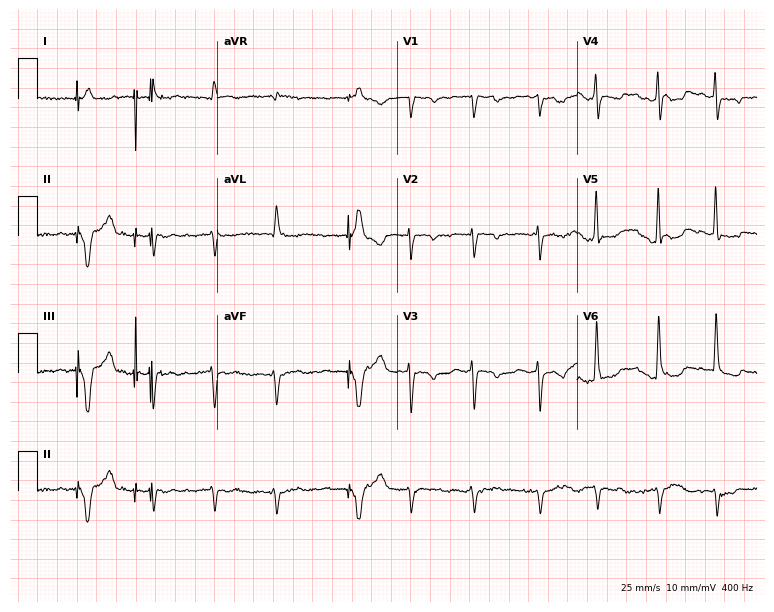
12-lead ECG from a man, 82 years old. No first-degree AV block, right bundle branch block (RBBB), left bundle branch block (LBBB), sinus bradycardia, atrial fibrillation (AF) or sinus tachycardia recorded for this tracing. Other findings, if any, are not listed.